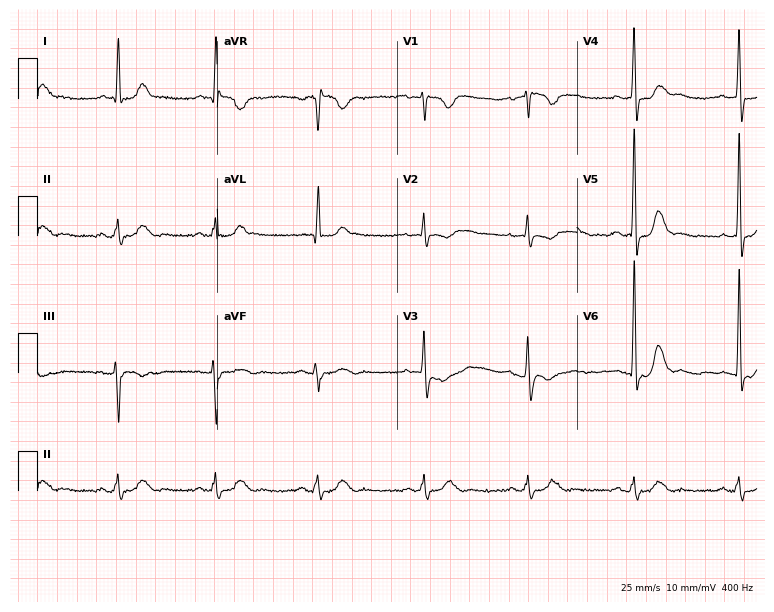
Standard 12-lead ECG recorded from a 64-year-old woman (7.3-second recording at 400 Hz). Read as a normal ECG.